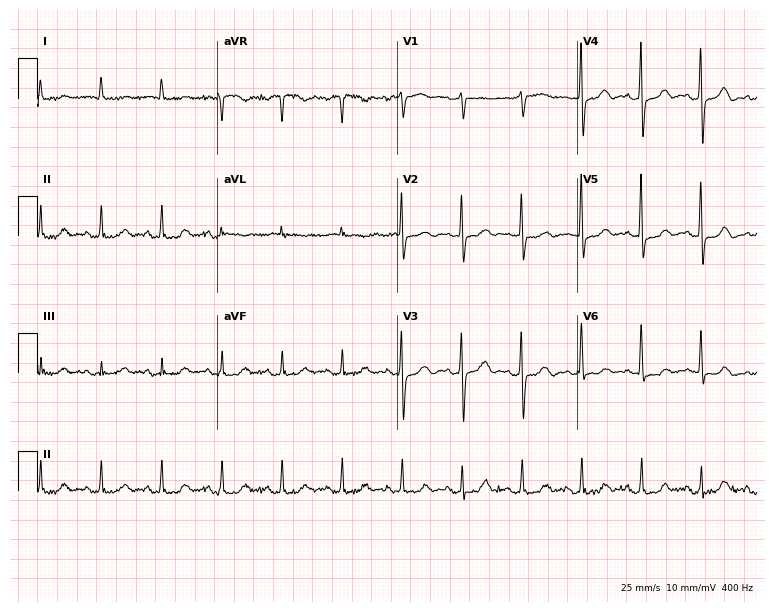
Resting 12-lead electrocardiogram (7.3-second recording at 400 Hz). Patient: a 79-year-old female. None of these six findings is recorded: first-degree AV block, right bundle branch block, left bundle branch block, sinus bradycardia, atrial fibrillation, sinus tachycardia.